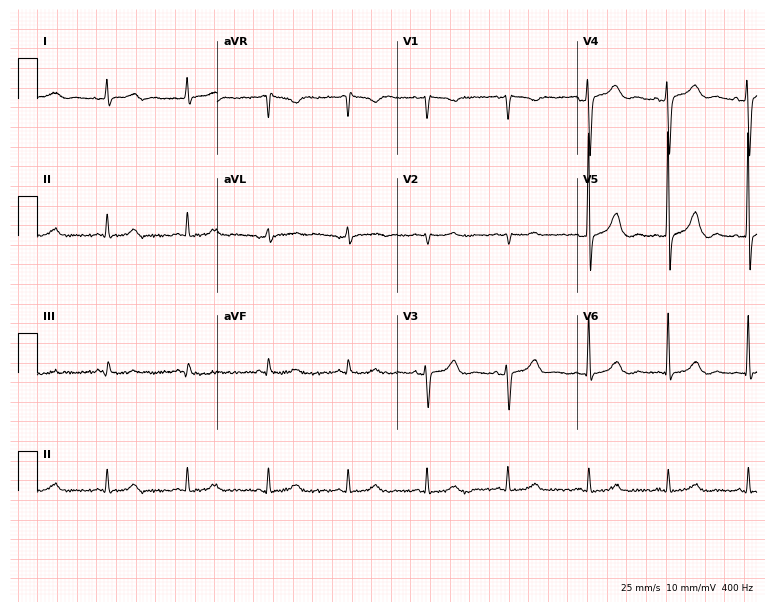
12-lead ECG from a 71-year-old female (7.3-second recording at 400 Hz). No first-degree AV block, right bundle branch block, left bundle branch block, sinus bradycardia, atrial fibrillation or sinus tachycardia recorded for this tracing.